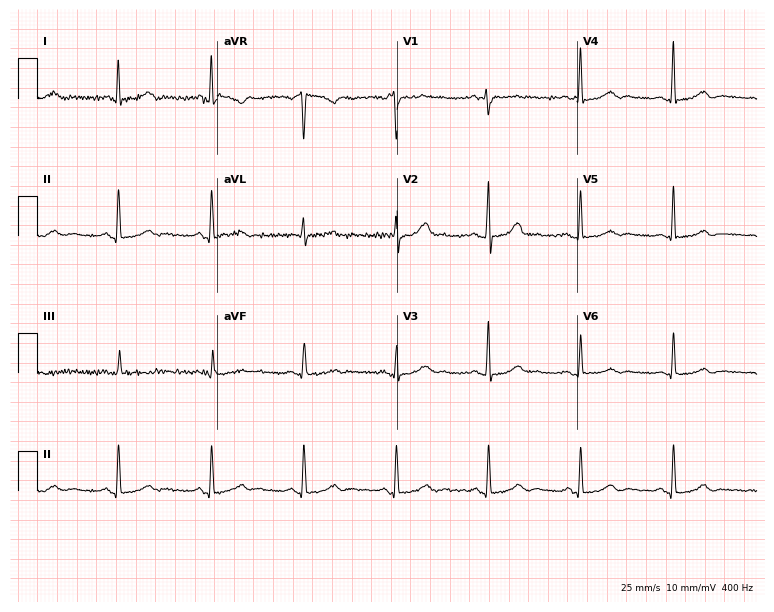
Standard 12-lead ECG recorded from a 49-year-old female patient. Read as a normal ECG.